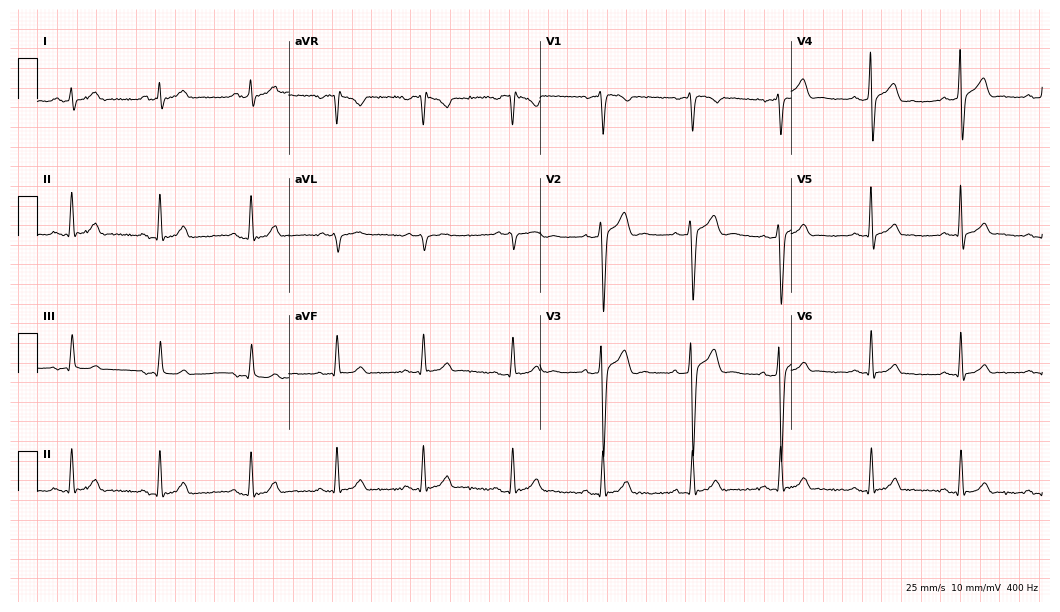
Resting 12-lead electrocardiogram (10.2-second recording at 400 Hz). Patient: a 31-year-old male. Read as a normal ECG.